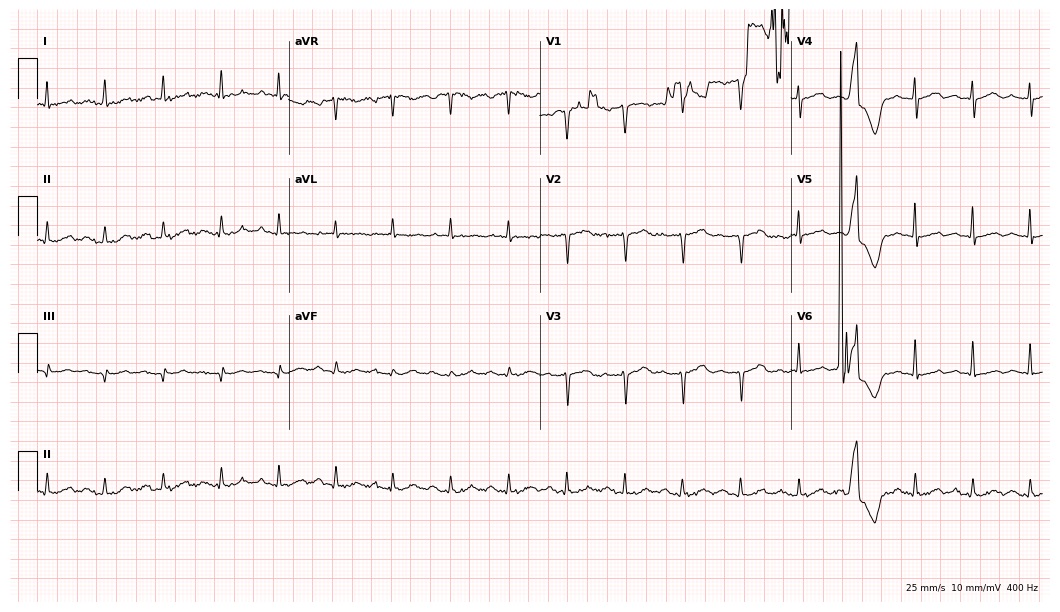
Standard 12-lead ECG recorded from a male patient, 70 years old (10.2-second recording at 400 Hz). None of these six findings is recorded: first-degree AV block, right bundle branch block, left bundle branch block, sinus bradycardia, atrial fibrillation, sinus tachycardia. Only these six findings were labelled.